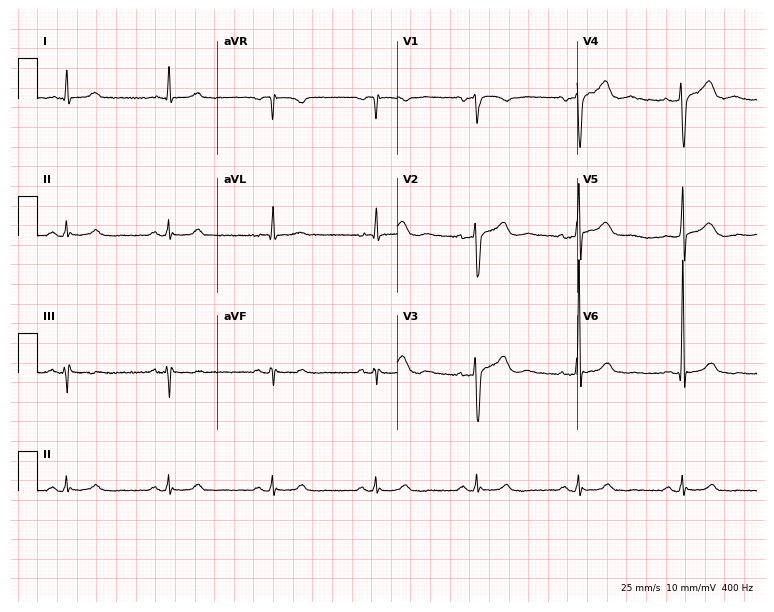
12-lead ECG from a male patient, 62 years old. No first-degree AV block, right bundle branch block (RBBB), left bundle branch block (LBBB), sinus bradycardia, atrial fibrillation (AF) or sinus tachycardia recorded for this tracing.